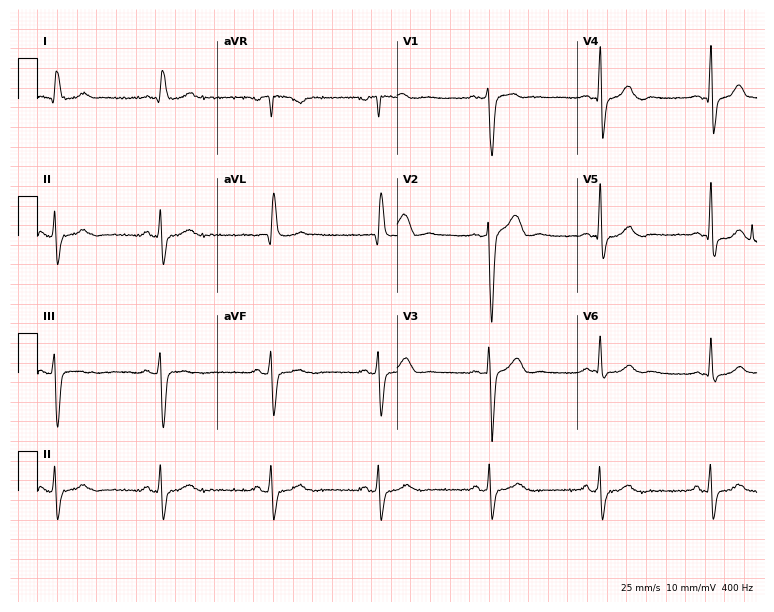
Resting 12-lead electrocardiogram. Patient: a 61-year-old male. None of these six findings is recorded: first-degree AV block, right bundle branch block, left bundle branch block, sinus bradycardia, atrial fibrillation, sinus tachycardia.